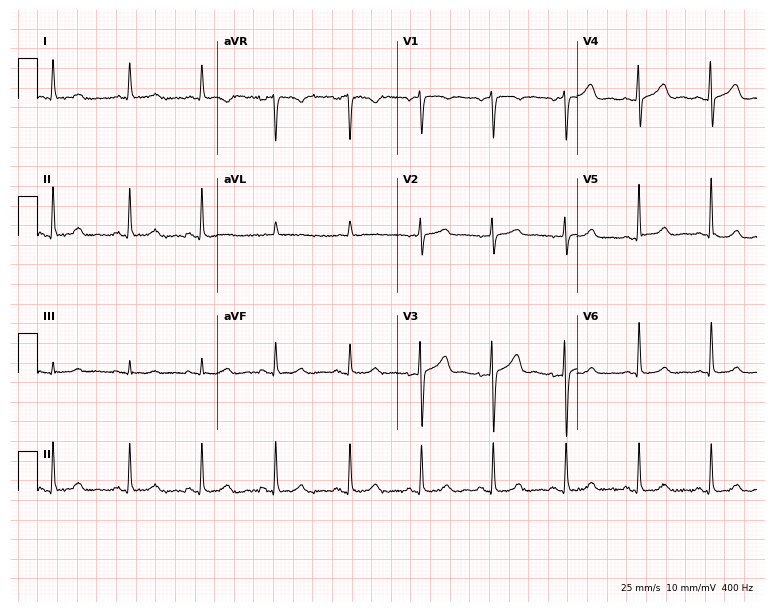
Standard 12-lead ECG recorded from a female patient, 57 years old. Read as a normal ECG.